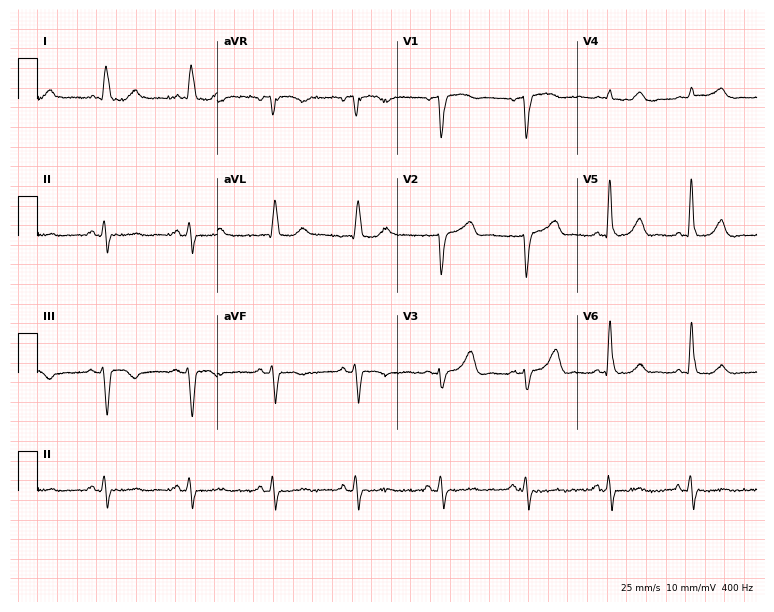
Electrocardiogram (7.3-second recording at 400 Hz), a female patient, 83 years old. Of the six screened findings (first-degree AV block, right bundle branch block, left bundle branch block, sinus bradycardia, atrial fibrillation, sinus tachycardia), none is recorded.